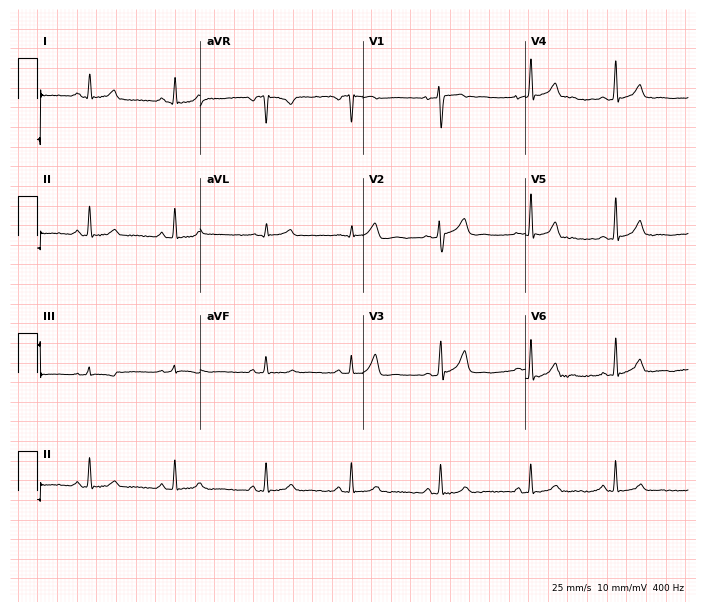
Resting 12-lead electrocardiogram (6.6-second recording at 400 Hz). Patient: a woman, 19 years old. Read as a normal ECG.